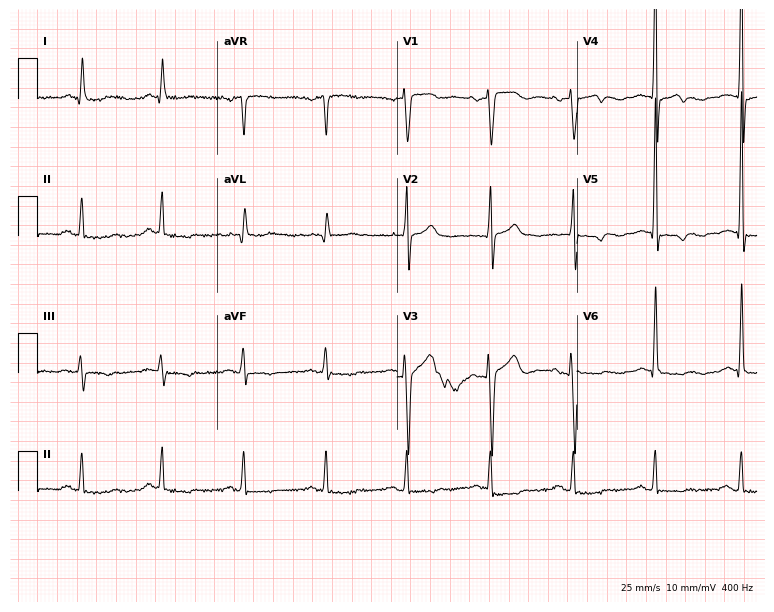
12-lead ECG from a male, 70 years old (7.3-second recording at 400 Hz). No first-degree AV block, right bundle branch block (RBBB), left bundle branch block (LBBB), sinus bradycardia, atrial fibrillation (AF) or sinus tachycardia recorded for this tracing.